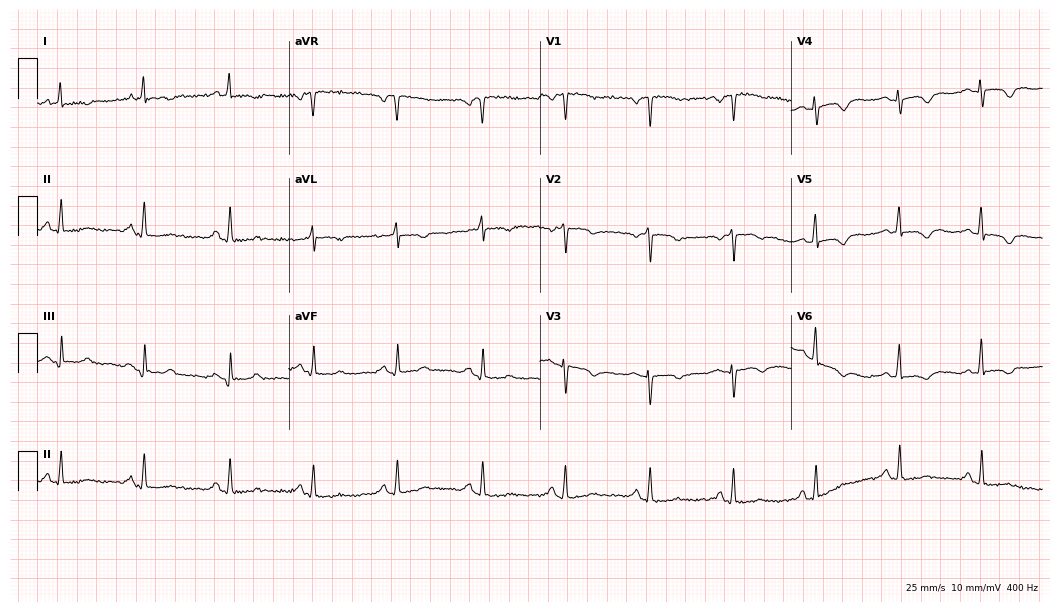
12-lead ECG from a woman, 76 years old. Screened for six findings — first-degree AV block, right bundle branch block, left bundle branch block, sinus bradycardia, atrial fibrillation, sinus tachycardia — none is recorded. Only these six findings were labelled.